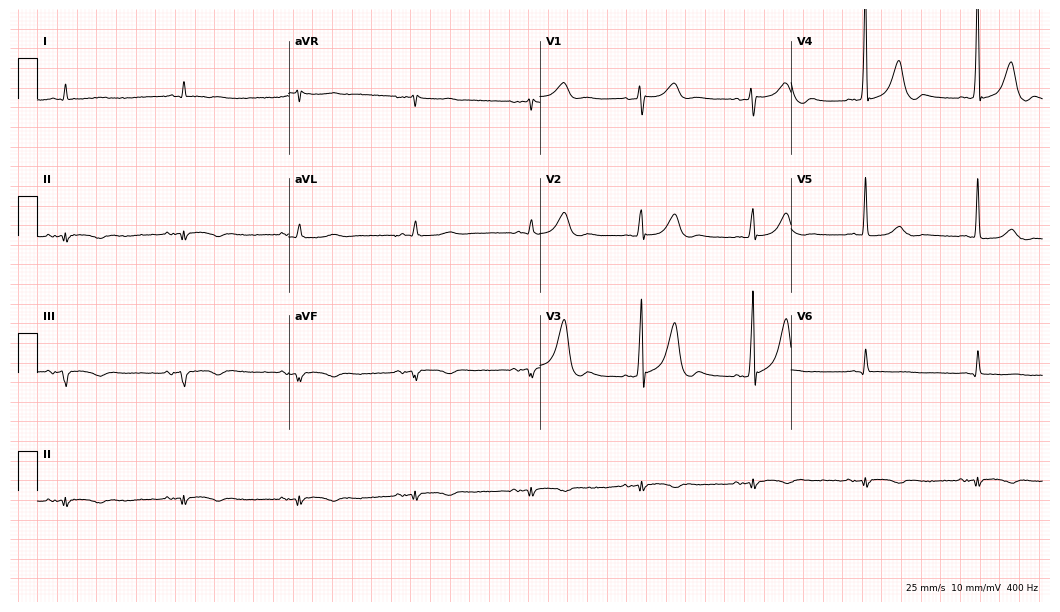
ECG — a man, 78 years old. Screened for six findings — first-degree AV block, right bundle branch block, left bundle branch block, sinus bradycardia, atrial fibrillation, sinus tachycardia — none is recorded. Only these six findings were labelled.